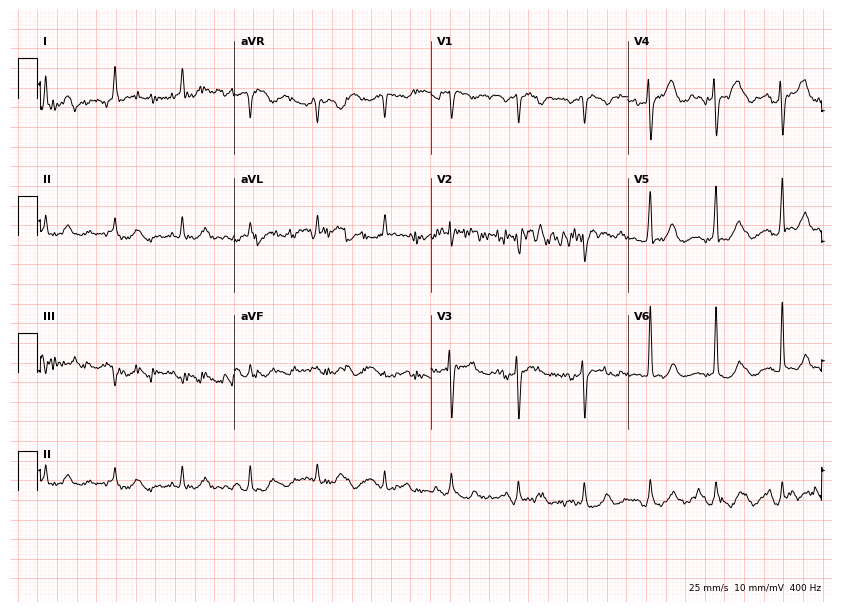
12-lead ECG (8-second recording at 400 Hz) from a 78-year-old male patient. Screened for six findings — first-degree AV block, right bundle branch block (RBBB), left bundle branch block (LBBB), sinus bradycardia, atrial fibrillation (AF), sinus tachycardia — none is recorded. Findings outside these six are not listed.